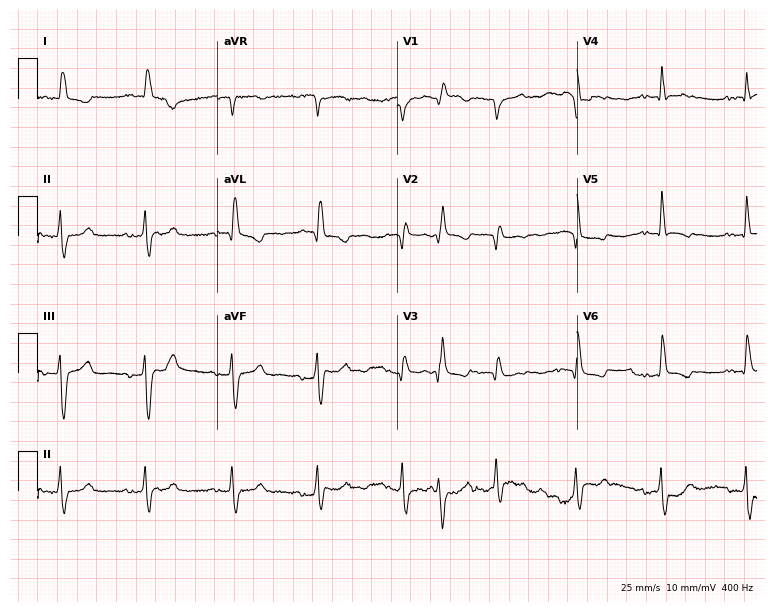
ECG — a woman, 84 years old. Screened for six findings — first-degree AV block, right bundle branch block, left bundle branch block, sinus bradycardia, atrial fibrillation, sinus tachycardia — none is recorded.